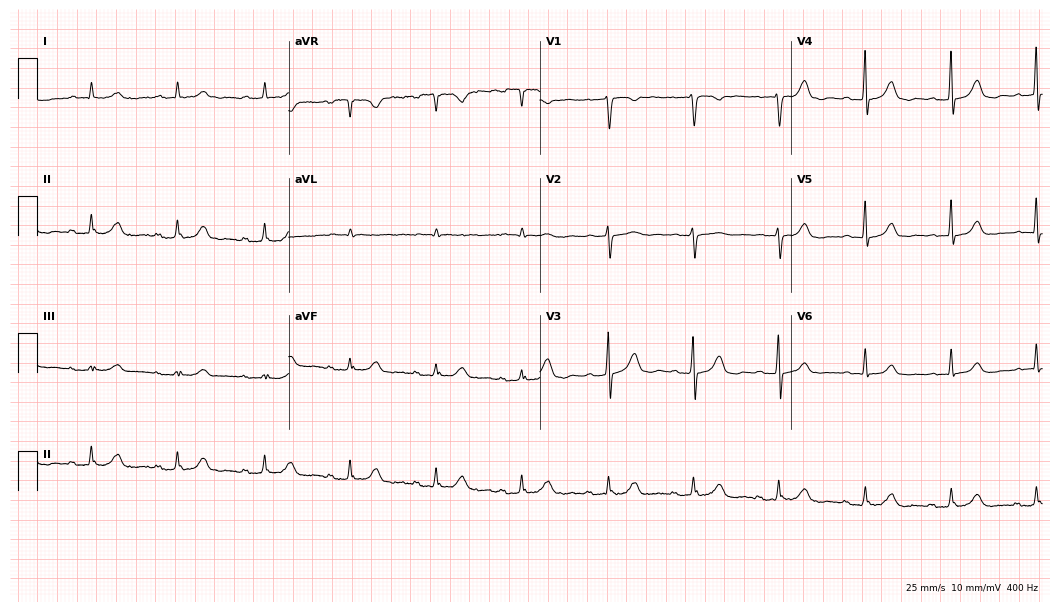
Electrocardiogram (10.2-second recording at 400 Hz), a 70-year-old man. Of the six screened findings (first-degree AV block, right bundle branch block, left bundle branch block, sinus bradycardia, atrial fibrillation, sinus tachycardia), none is recorded. Other findings, if any, are not listed.